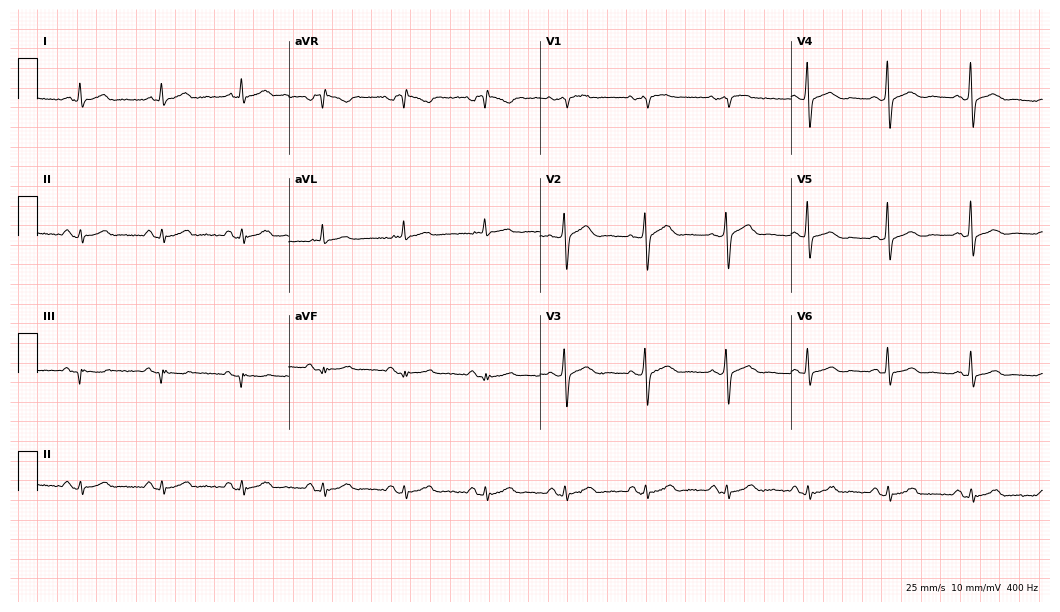
Standard 12-lead ECG recorded from a 65-year-old woman. None of these six findings is recorded: first-degree AV block, right bundle branch block, left bundle branch block, sinus bradycardia, atrial fibrillation, sinus tachycardia. Only these six findings were labelled.